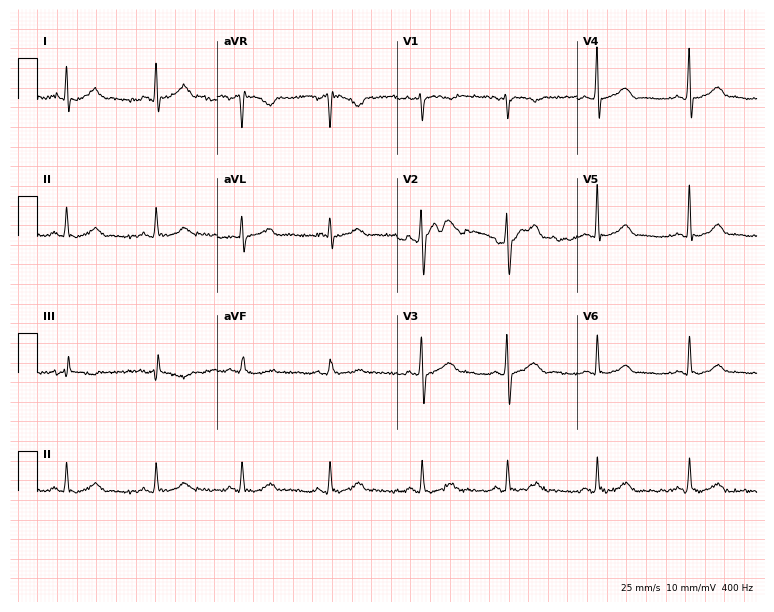
Resting 12-lead electrocardiogram (7.3-second recording at 400 Hz). Patient: a male, 46 years old. Read as a normal ECG.